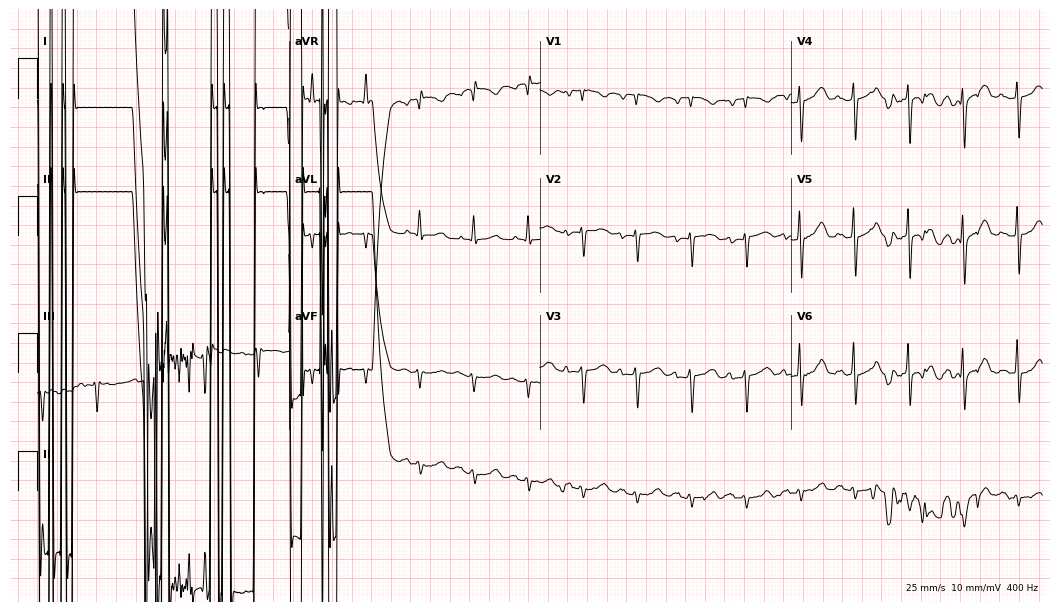
Standard 12-lead ECG recorded from a 73-year-old male patient (10.2-second recording at 400 Hz). The tracing shows sinus tachycardia (a sinus rate of 100 beats per minute or more).